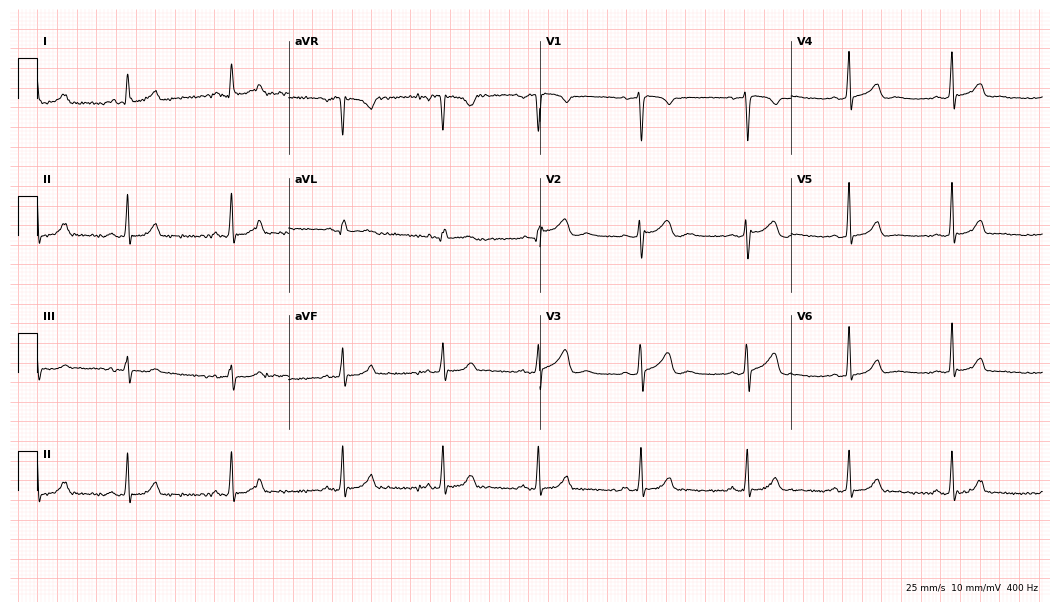
12-lead ECG from a 27-year-old woman. Labelled as a normal ECG.